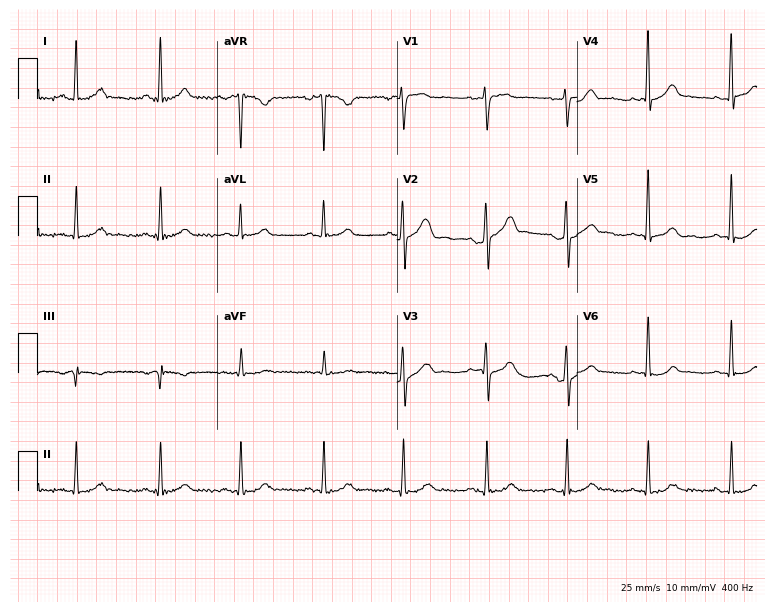
12-lead ECG from a 36-year-old male patient. Labelled as a normal ECG.